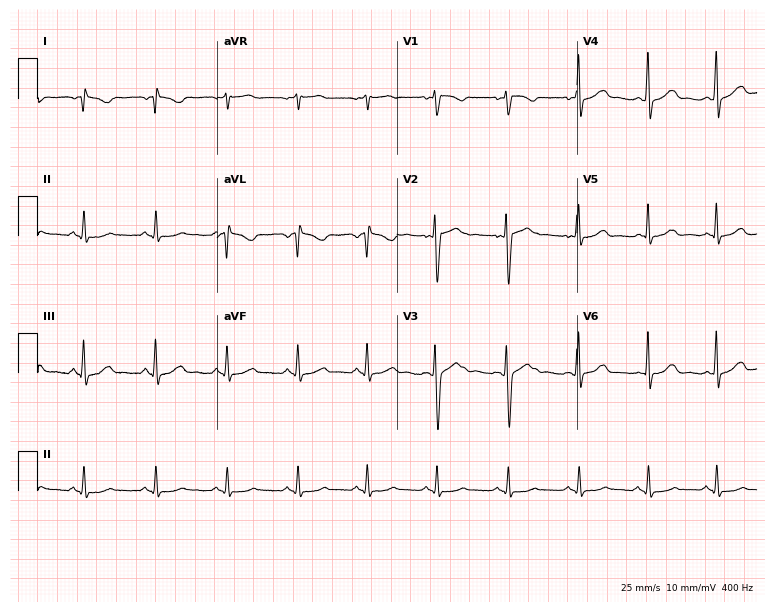
Resting 12-lead electrocardiogram. Patient: a female, 35 years old. Read as a normal ECG.